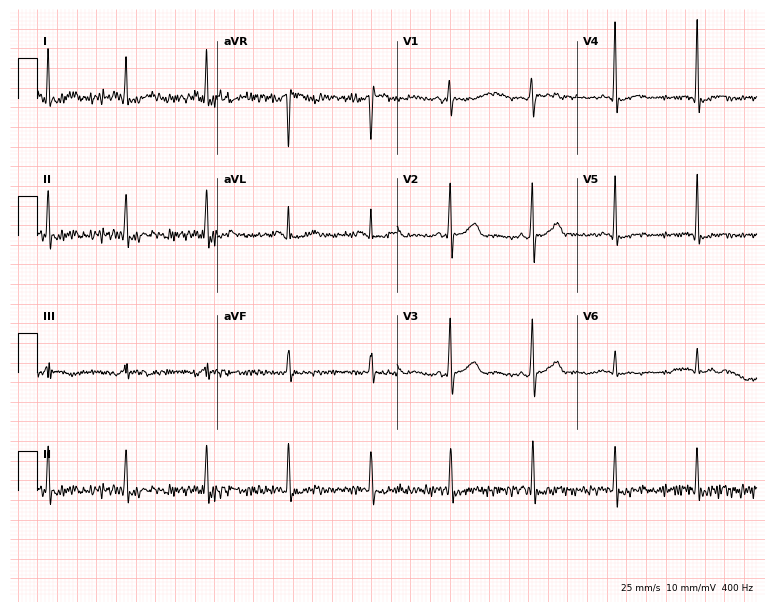
ECG — a 32-year-old woman. Screened for six findings — first-degree AV block, right bundle branch block, left bundle branch block, sinus bradycardia, atrial fibrillation, sinus tachycardia — none is recorded. Only these six findings were labelled.